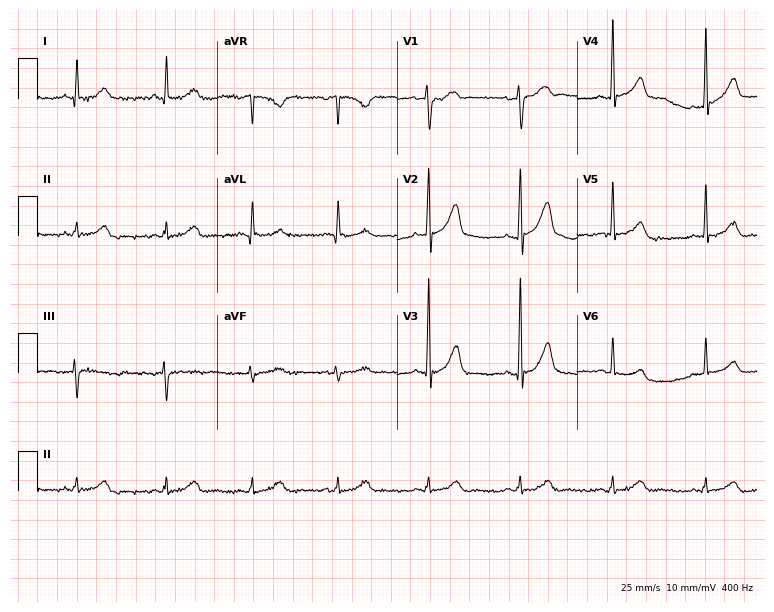
ECG — a male, 62 years old. Labelled as a normal ECG.